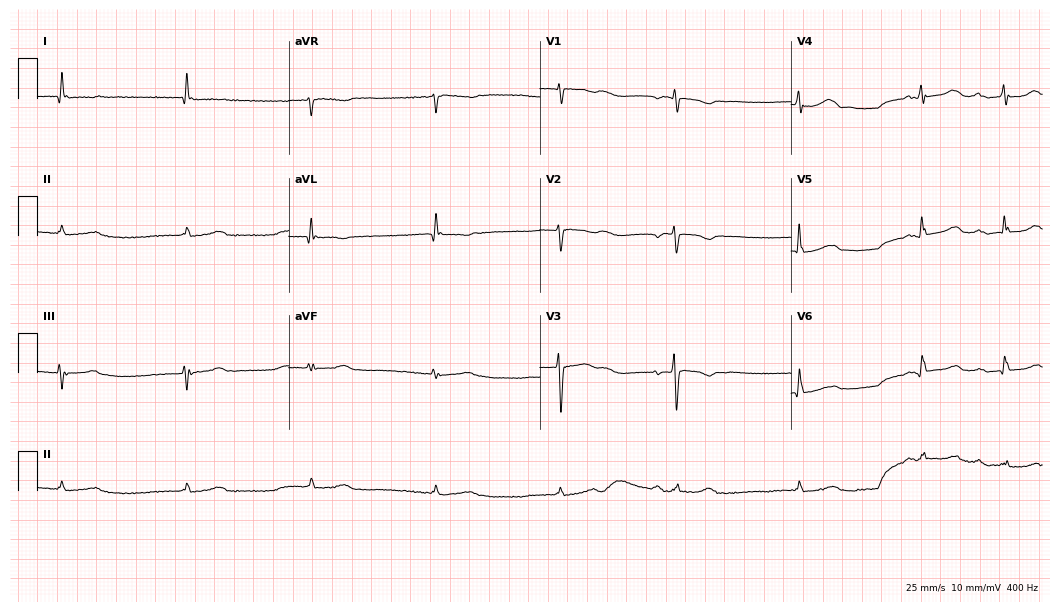
ECG (10.2-second recording at 400 Hz) — a woman, 75 years old. Screened for six findings — first-degree AV block, right bundle branch block (RBBB), left bundle branch block (LBBB), sinus bradycardia, atrial fibrillation (AF), sinus tachycardia — none is recorded. Findings outside these six are not listed.